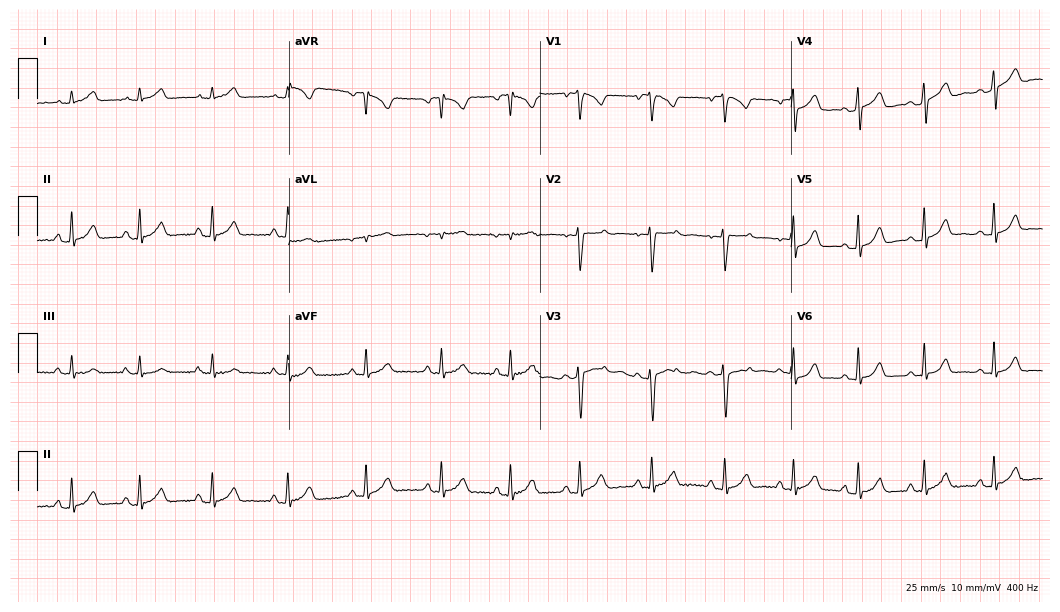
Resting 12-lead electrocardiogram (10.2-second recording at 400 Hz). Patient: a female, 17 years old. Read as a normal ECG.